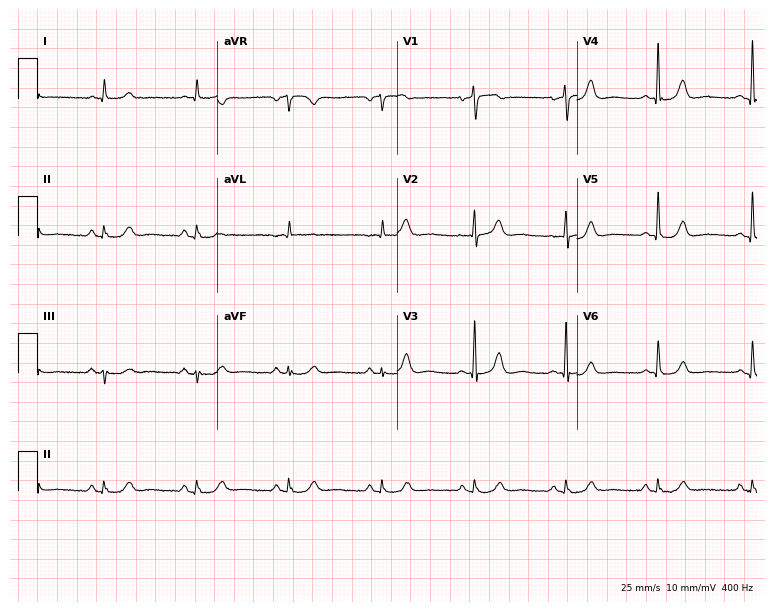
12-lead ECG (7.3-second recording at 400 Hz) from a woman, 85 years old. Labelled as a normal ECG.